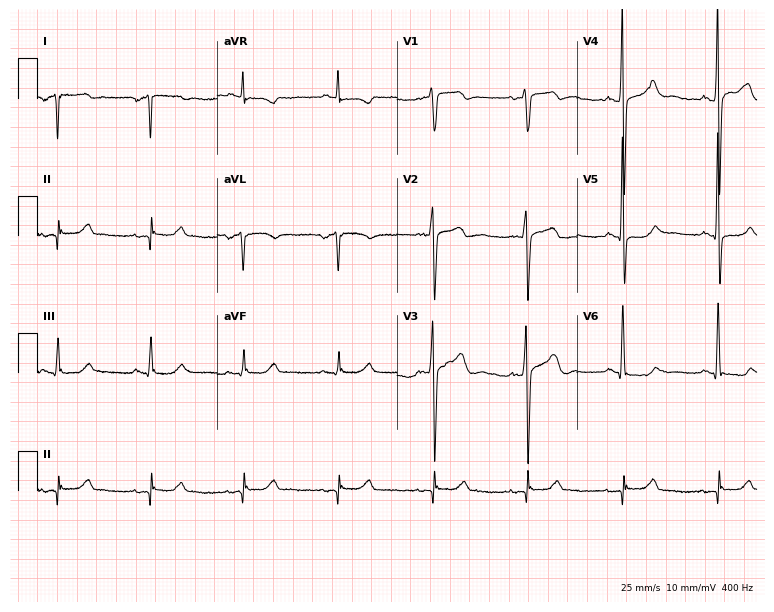
ECG (7.3-second recording at 400 Hz) — a male, 67 years old. Screened for six findings — first-degree AV block, right bundle branch block, left bundle branch block, sinus bradycardia, atrial fibrillation, sinus tachycardia — none is recorded. Findings outside these six are not listed.